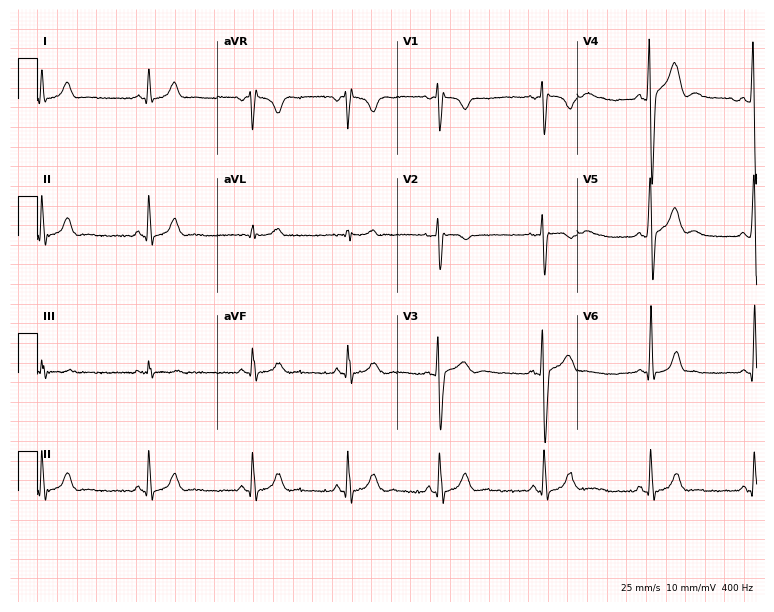
Standard 12-lead ECG recorded from a 17-year-old male (7.3-second recording at 400 Hz). None of these six findings is recorded: first-degree AV block, right bundle branch block, left bundle branch block, sinus bradycardia, atrial fibrillation, sinus tachycardia.